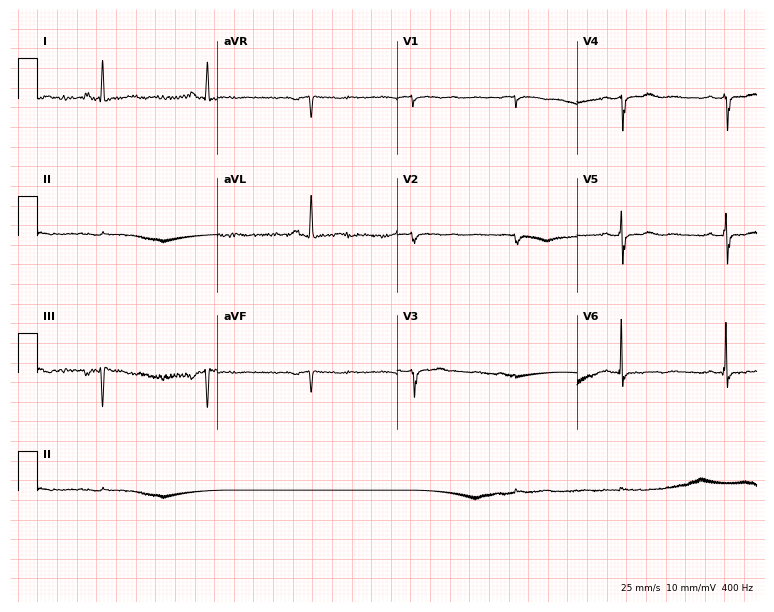
12-lead ECG from an 80-year-old man. Screened for six findings — first-degree AV block, right bundle branch block, left bundle branch block, sinus bradycardia, atrial fibrillation, sinus tachycardia — none is recorded. Other findings, if any, are not listed.